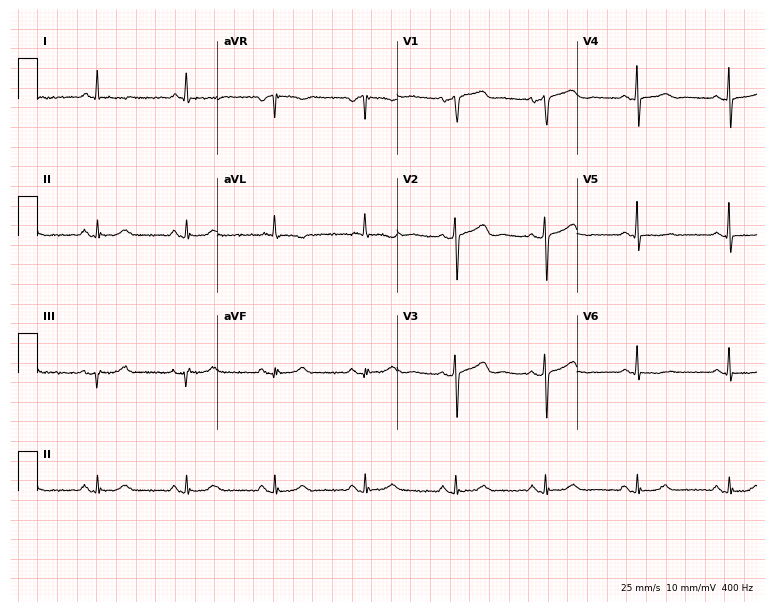
12-lead ECG from a woman, 78 years old. No first-degree AV block, right bundle branch block, left bundle branch block, sinus bradycardia, atrial fibrillation or sinus tachycardia recorded for this tracing.